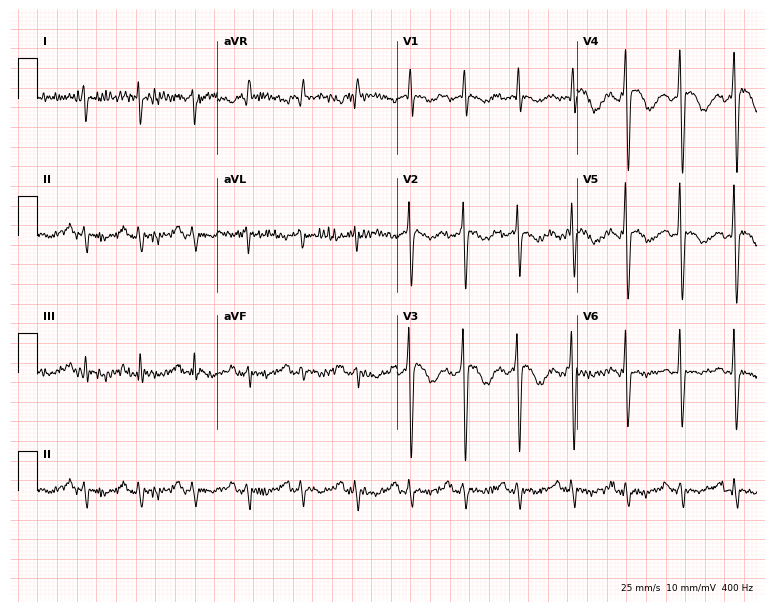
Resting 12-lead electrocardiogram. Patient: a 41-year-old man. The tracing shows sinus tachycardia (a sinus rate of 100 beats per minute or more).